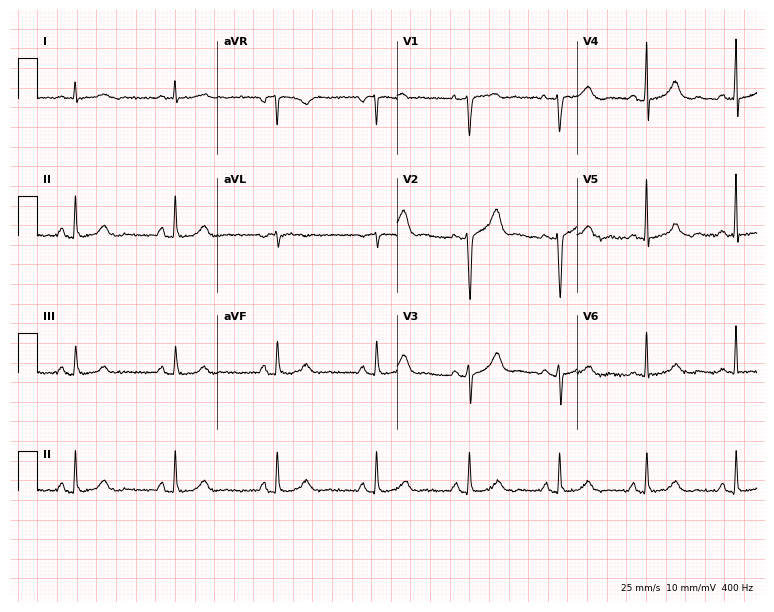
ECG — a 52-year-old female. Labelled as a normal ECG.